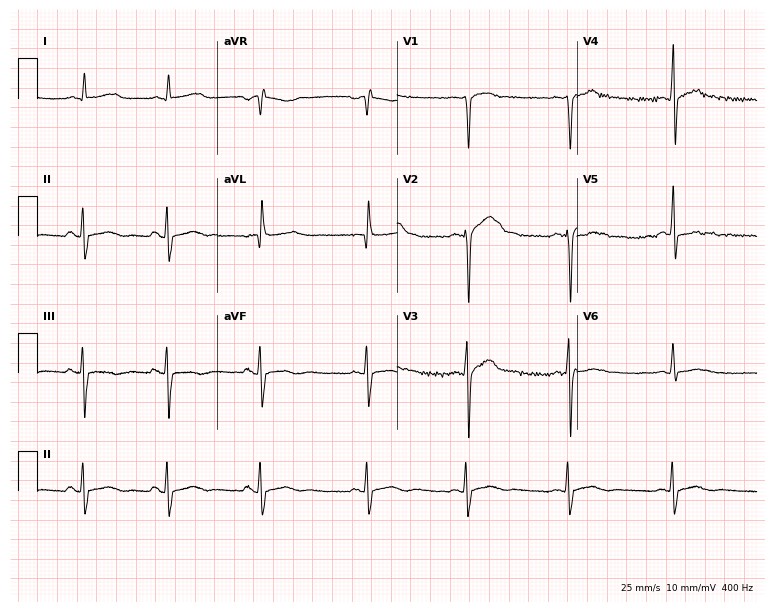
12-lead ECG from a man, 25 years old (7.3-second recording at 400 Hz). No first-degree AV block, right bundle branch block, left bundle branch block, sinus bradycardia, atrial fibrillation or sinus tachycardia recorded for this tracing. Other findings, if any, are not listed.